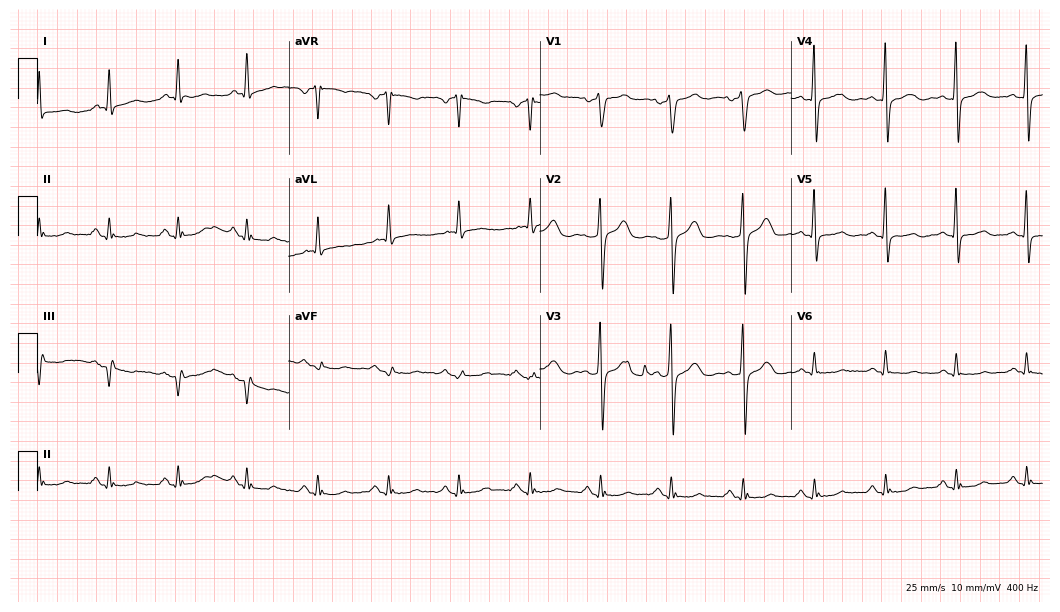
Standard 12-lead ECG recorded from a male, 50 years old. None of these six findings is recorded: first-degree AV block, right bundle branch block, left bundle branch block, sinus bradycardia, atrial fibrillation, sinus tachycardia. Only these six findings were labelled.